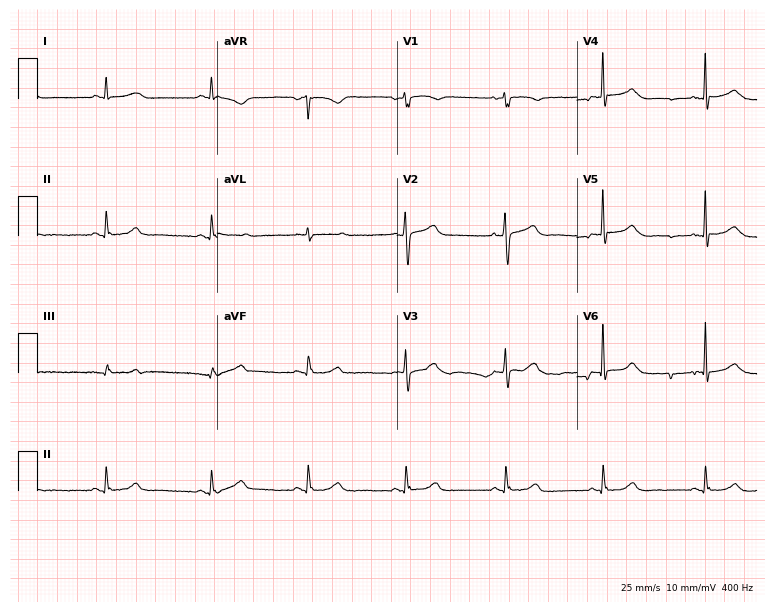
Standard 12-lead ECG recorded from a female, 73 years old. None of these six findings is recorded: first-degree AV block, right bundle branch block, left bundle branch block, sinus bradycardia, atrial fibrillation, sinus tachycardia.